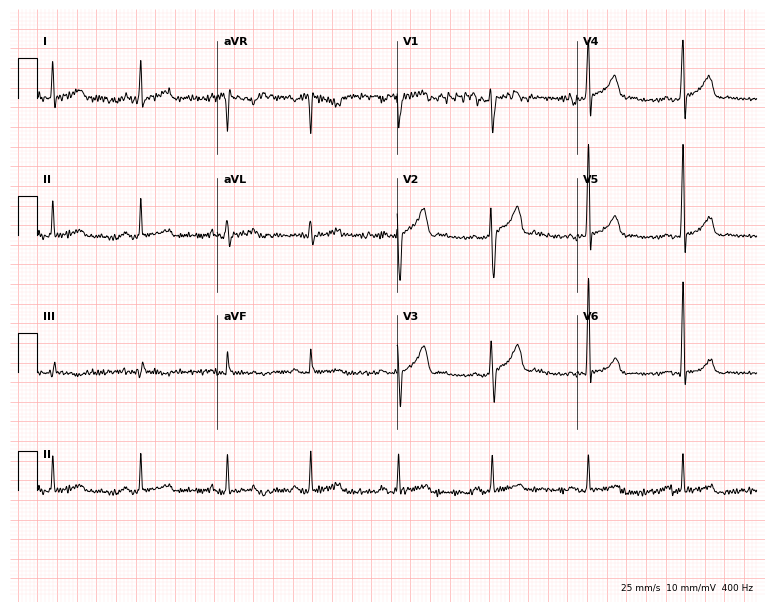
12-lead ECG (7.3-second recording at 400 Hz) from a 33-year-old male patient. Labelled as a normal ECG.